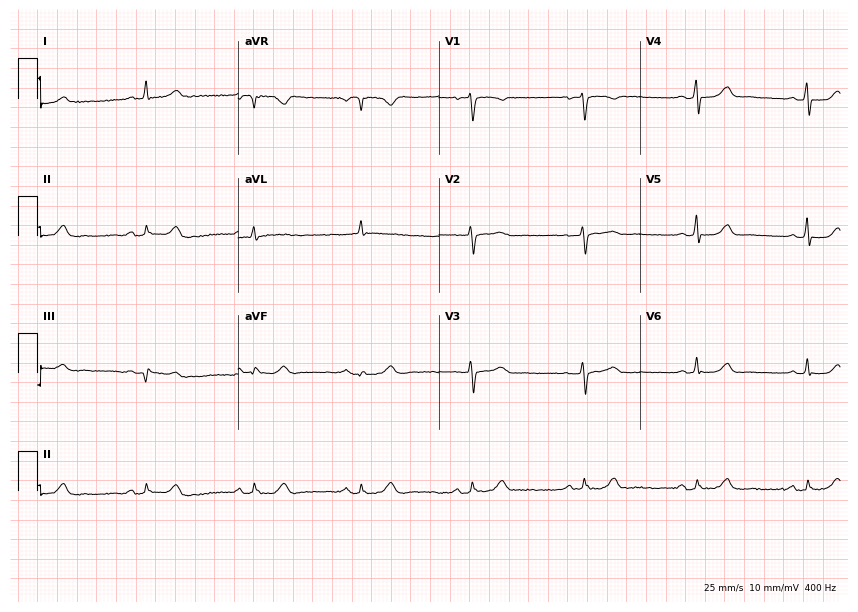
12-lead ECG (8.2-second recording at 400 Hz) from a female, 63 years old. Screened for six findings — first-degree AV block, right bundle branch block, left bundle branch block, sinus bradycardia, atrial fibrillation, sinus tachycardia — none is recorded.